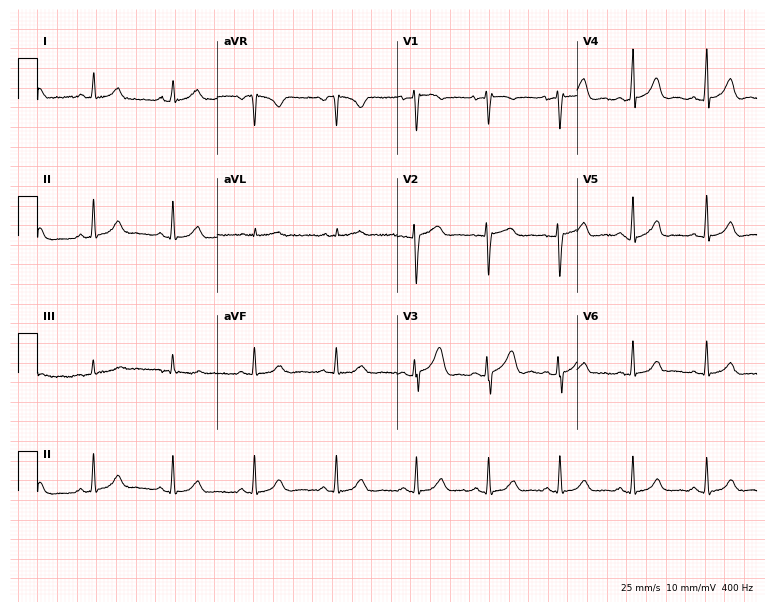
ECG — a 30-year-old female. Labelled as a normal ECG.